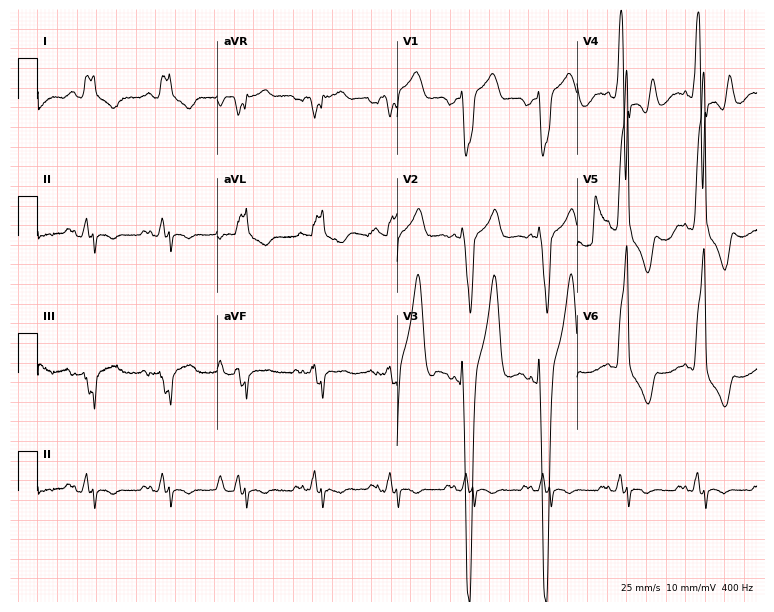
Resting 12-lead electrocardiogram (7.3-second recording at 400 Hz). Patient: a male, 67 years old. The tracing shows left bundle branch block.